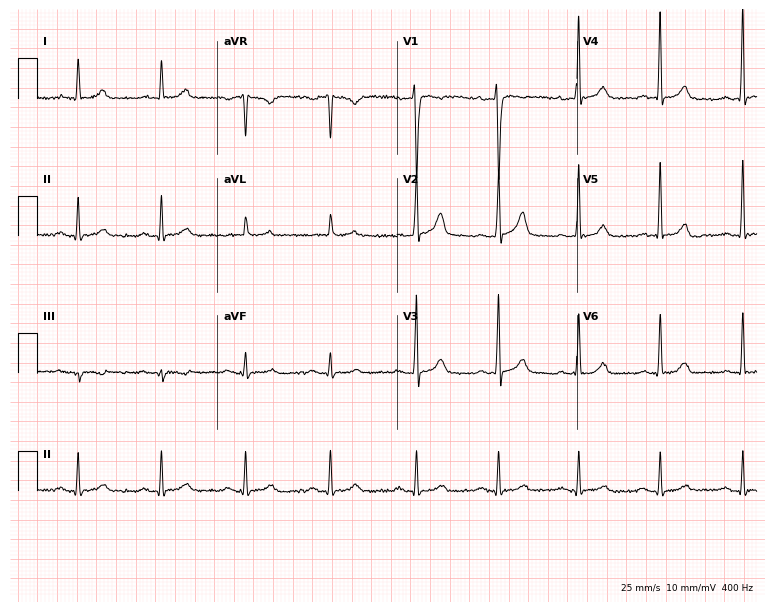
Standard 12-lead ECG recorded from a 54-year-old male patient. Read as a normal ECG.